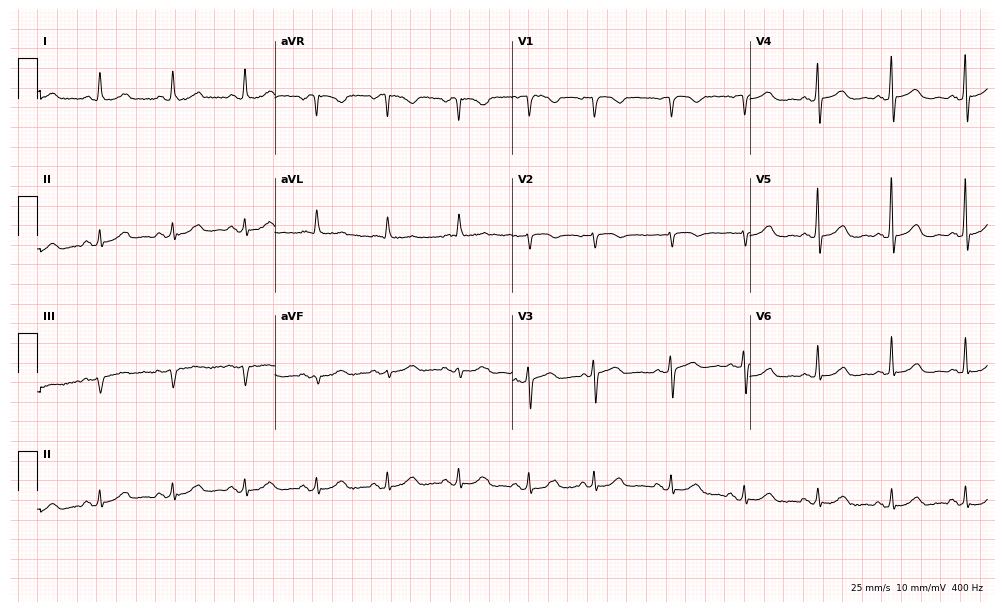
12-lead ECG (9.7-second recording at 400 Hz) from a female, 75 years old. Labelled as a normal ECG.